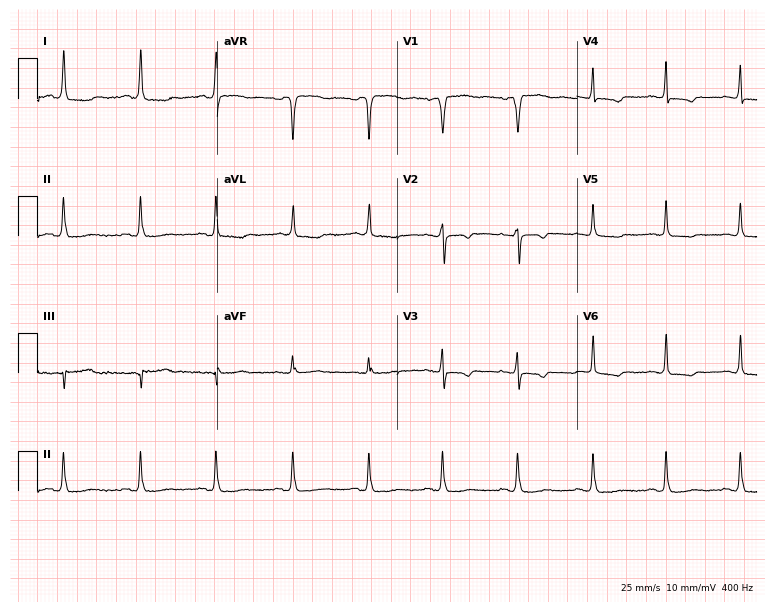
Standard 12-lead ECG recorded from a female, 49 years old (7.3-second recording at 400 Hz). None of these six findings is recorded: first-degree AV block, right bundle branch block, left bundle branch block, sinus bradycardia, atrial fibrillation, sinus tachycardia.